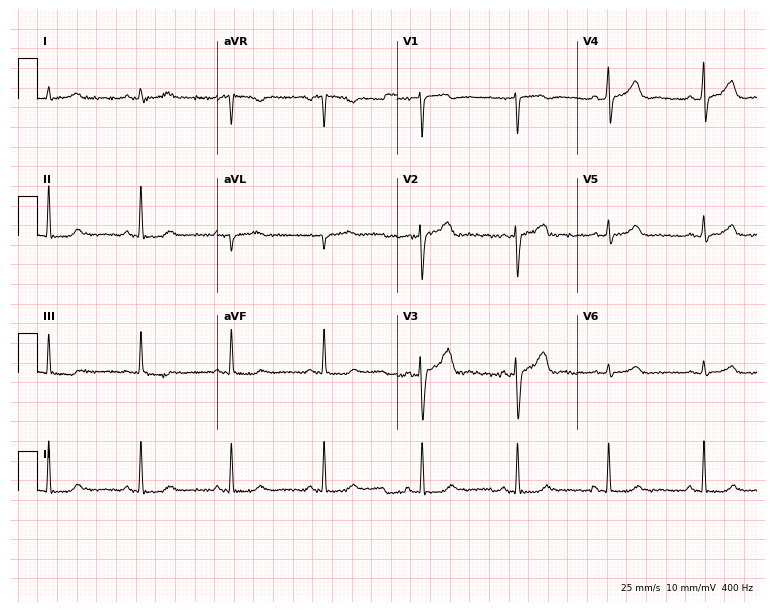
ECG — a 50-year-old male patient. Screened for six findings — first-degree AV block, right bundle branch block (RBBB), left bundle branch block (LBBB), sinus bradycardia, atrial fibrillation (AF), sinus tachycardia — none is recorded. Findings outside these six are not listed.